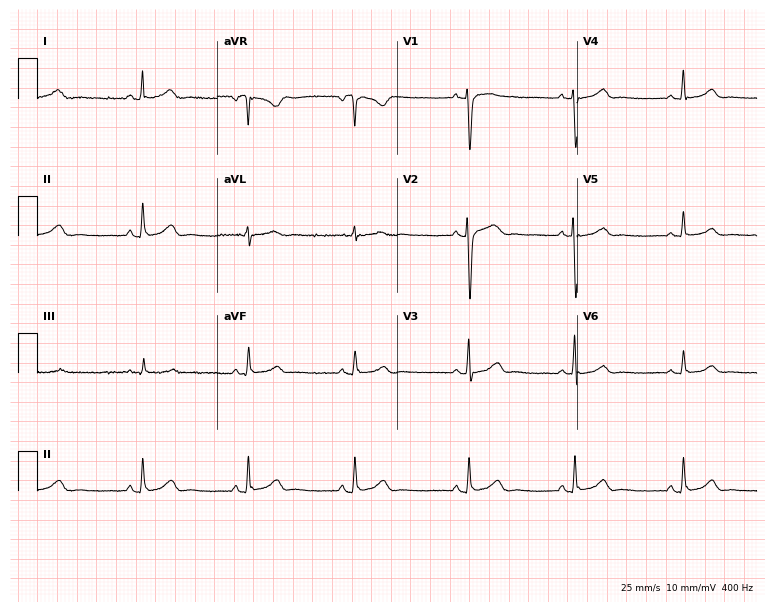
Electrocardiogram, a woman, 37 years old. Overall reading on record: normal ECG.